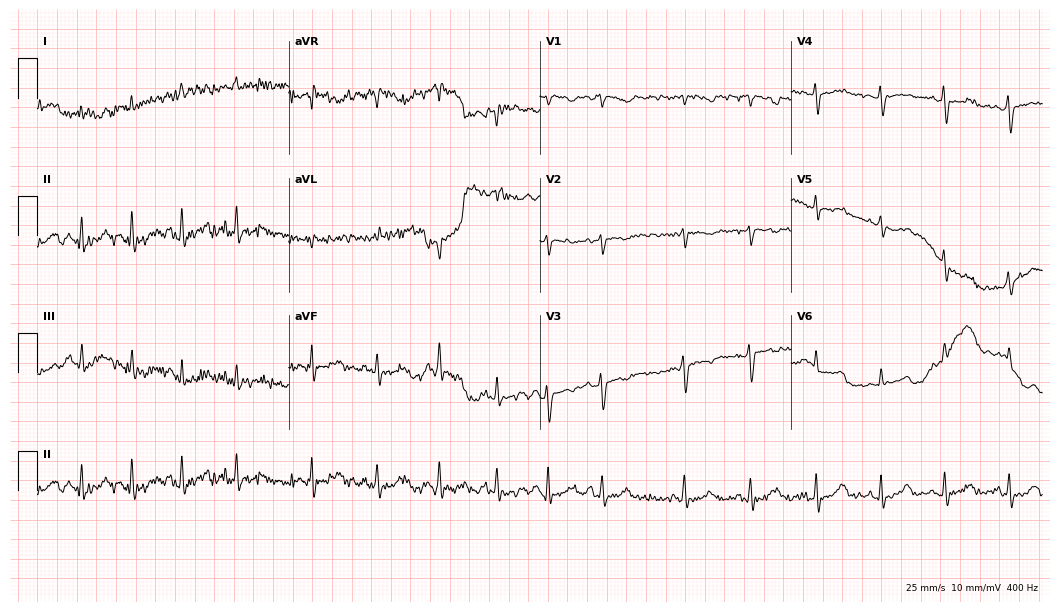
Resting 12-lead electrocardiogram (10.2-second recording at 400 Hz). Patient: a 32-year-old female. None of these six findings is recorded: first-degree AV block, right bundle branch block (RBBB), left bundle branch block (LBBB), sinus bradycardia, atrial fibrillation (AF), sinus tachycardia. Other findings, if any, are not listed.